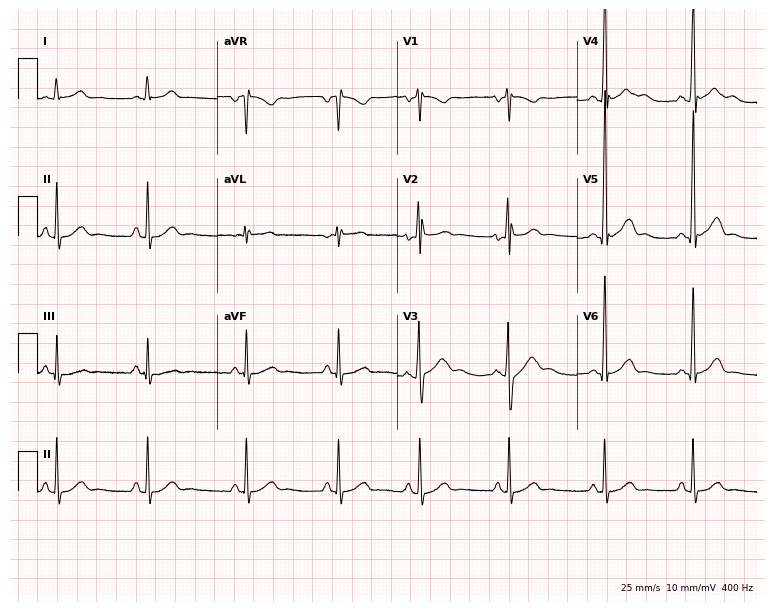
12-lead ECG from an 18-year-old man. No first-degree AV block, right bundle branch block (RBBB), left bundle branch block (LBBB), sinus bradycardia, atrial fibrillation (AF) or sinus tachycardia recorded for this tracing.